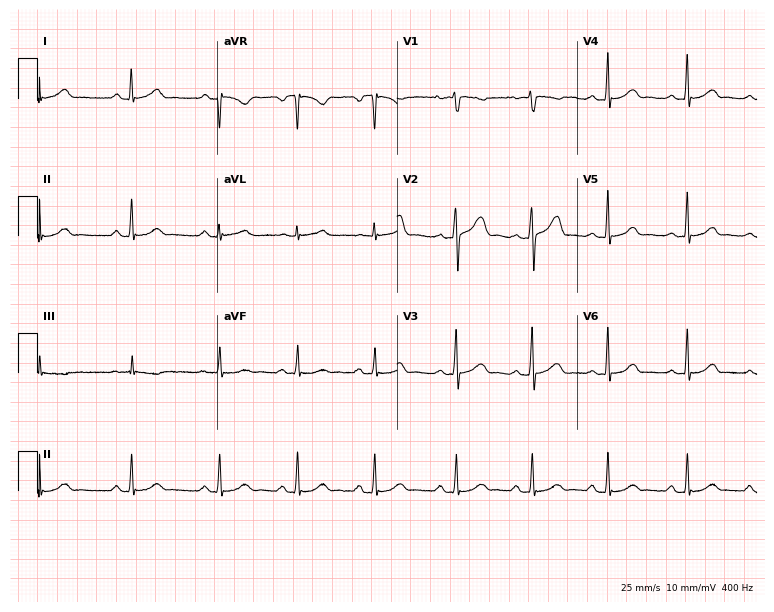
Standard 12-lead ECG recorded from a female patient, 18 years old (7.3-second recording at 400 Hz). Read as a normal ECG.